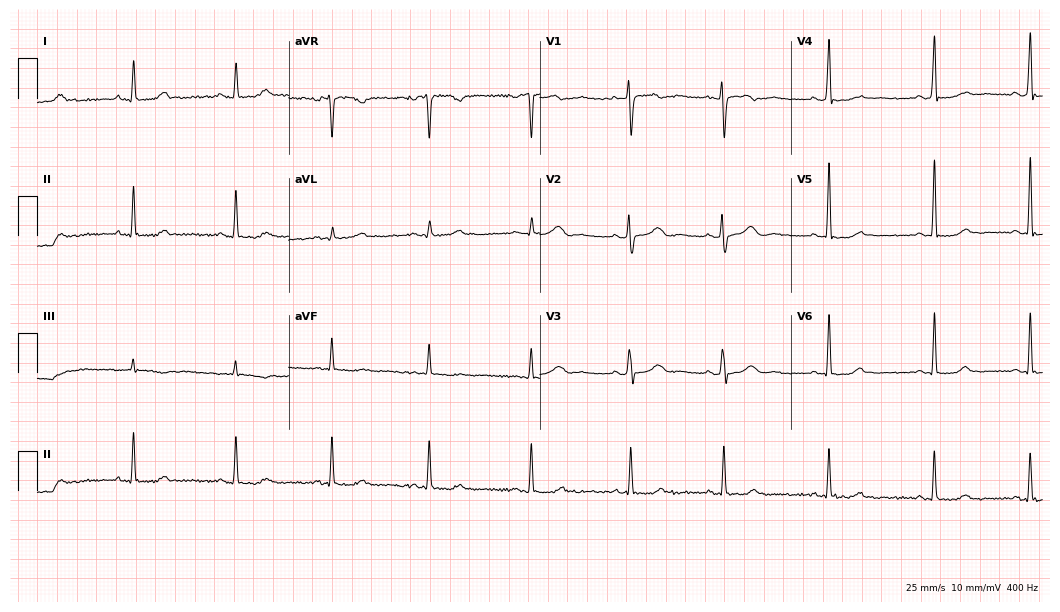
Resting 12-lead electrocardiogram (10.2-second recording at 400 Hz). Patient: a female, 32 years old. None of these six findings is recorded: first-degree AV block, right bundle branch block (RBBB), left bundle branch block (LBBB), sinus bradycardia, atrial fibrillation (AF), sinus tachycardia. Only these six findings were labelled.